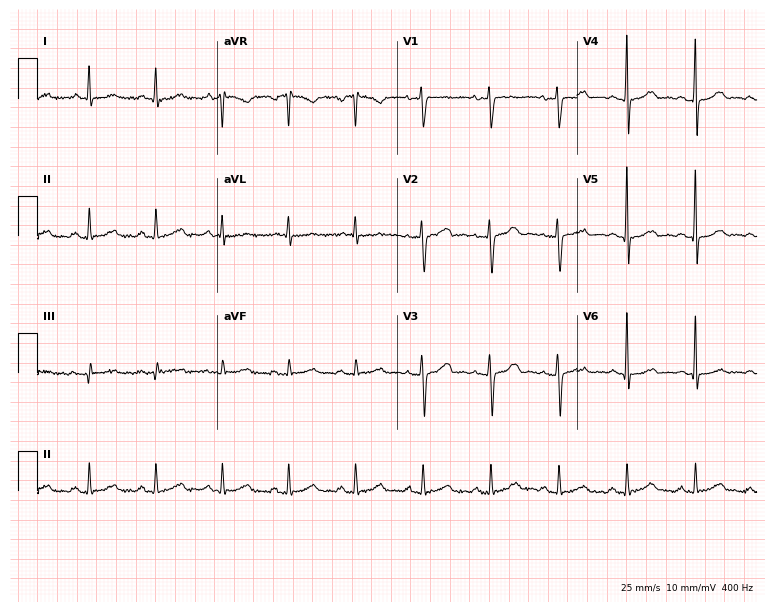
Resting 12-lead electrocardiogram. Patient: a 44-year-old female. None of these six findings is recorded: first-degree AV block, right bundle branch block, left bundle branch block, sinus bradycardia, atrial fibrillation, sinus tachycardia.